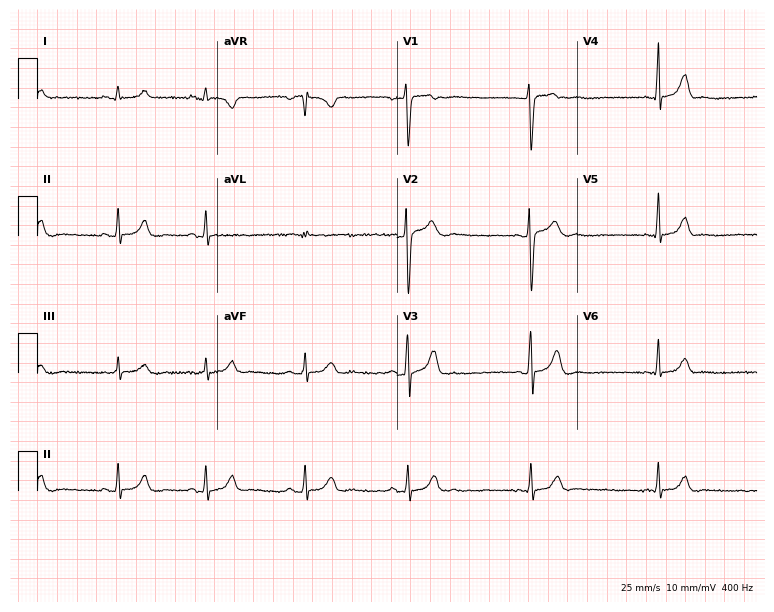
12-lead ECG from an 18-year-old female patient. Labelled as a normal ECG.